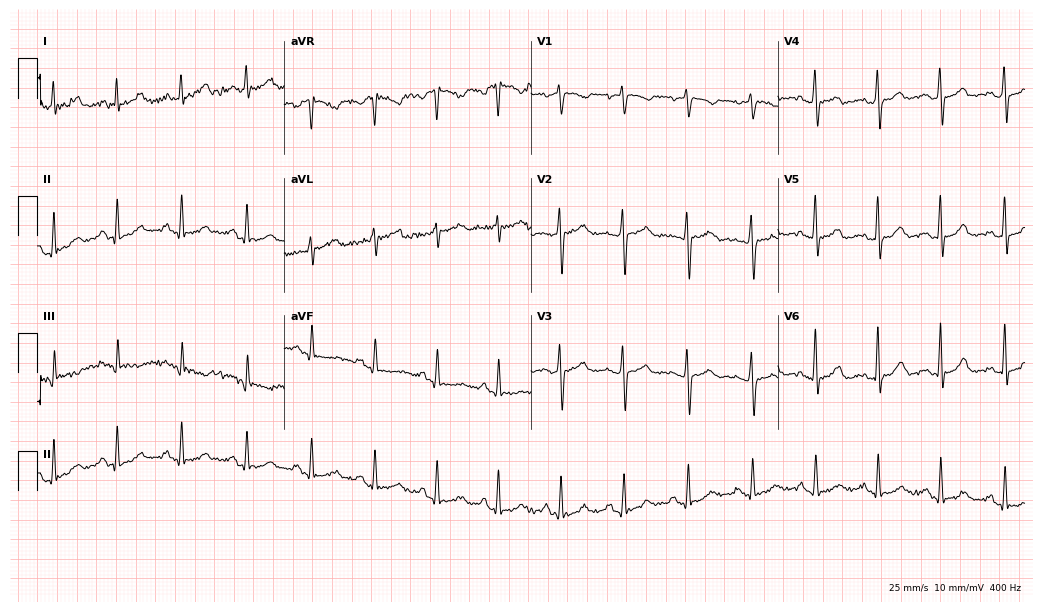
Resting 12-lead electrocardiogram. Patient: a female, 52 years old. None of these six findings is recorded: first-degree AV block, right bundle branch block, left bundle branch block, sinus bradycardia, atrial fibrillation, sinus tachycardia. Only these six findings were labelled.